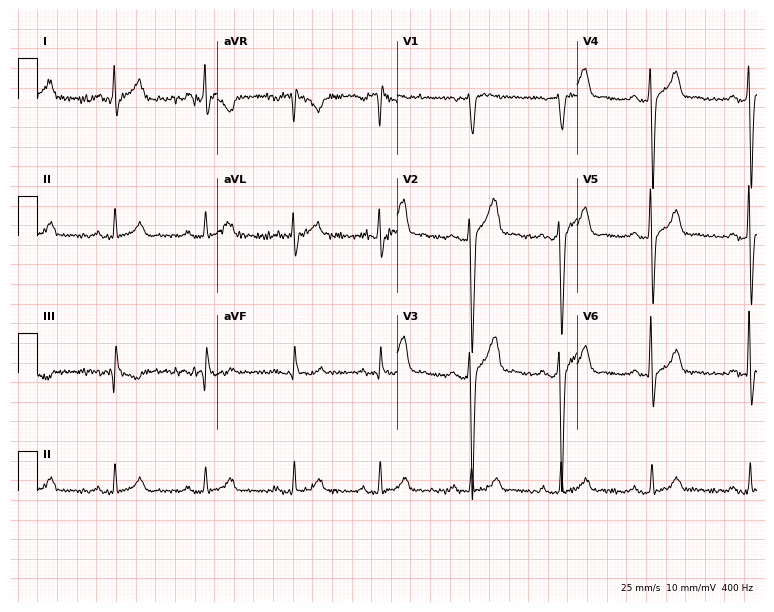
12-lead ECG from a 35-year-old male. No first-degree AV block, right bundle branch block, left bundle branch block, sinus bradycardia, atrial fibrillation or sinus tachycardia recorded for this tracing. Other findings, if any, are not listed.